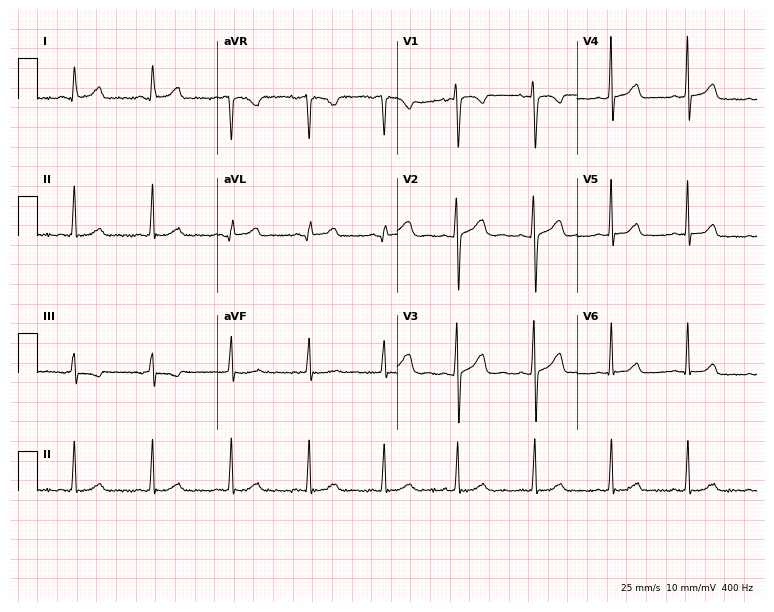
Electrocardiogram, a 29-year-old female patient. Overall reading on record: normal ECG.